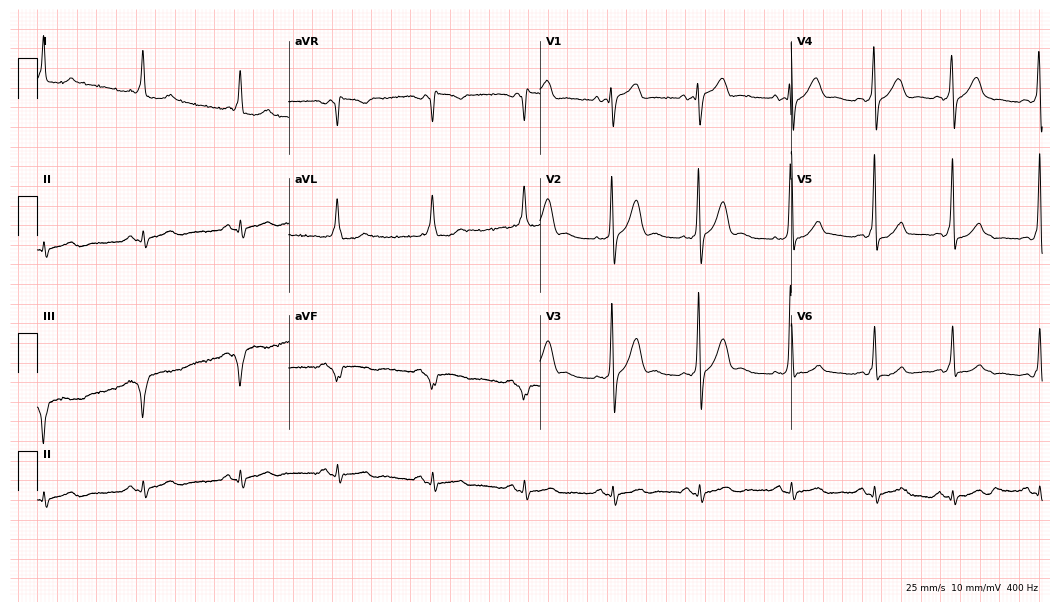
12-lead ECG from a male patient, 25 years old (10.2-second recording at 400 Hz). No first-degree AV block, right bundle branch block, left bundle branch block, sinus bradycardia, atrial fibrillation or sinus tachycardia recorded for this tracing. Only these six findings were labelled.